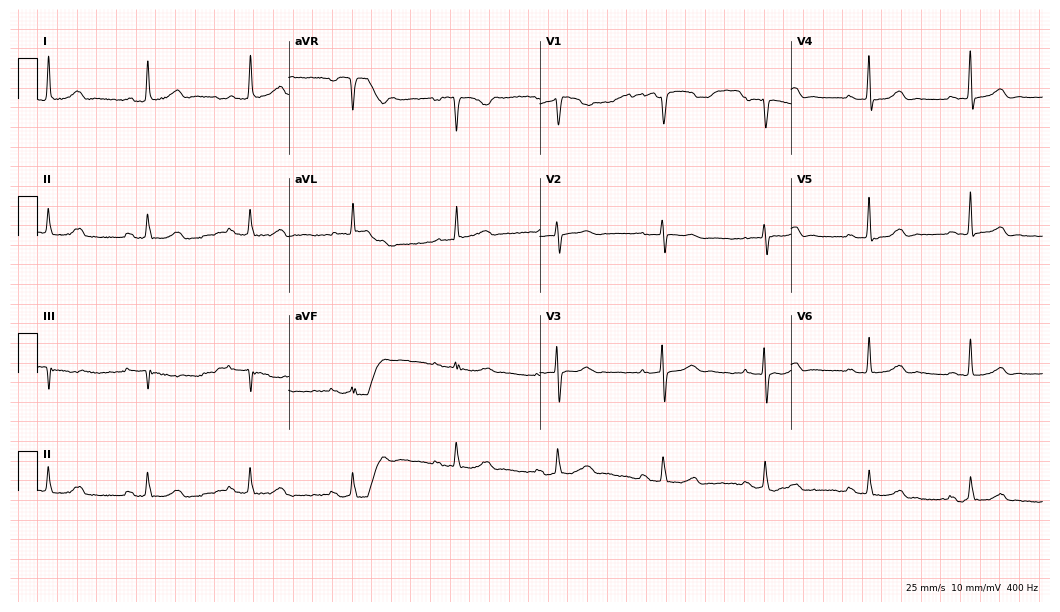
Standard 12-lead ECG recorded from a female, 73 years old (10.2-second recording at 400 Hz). Read as a normal ECG.